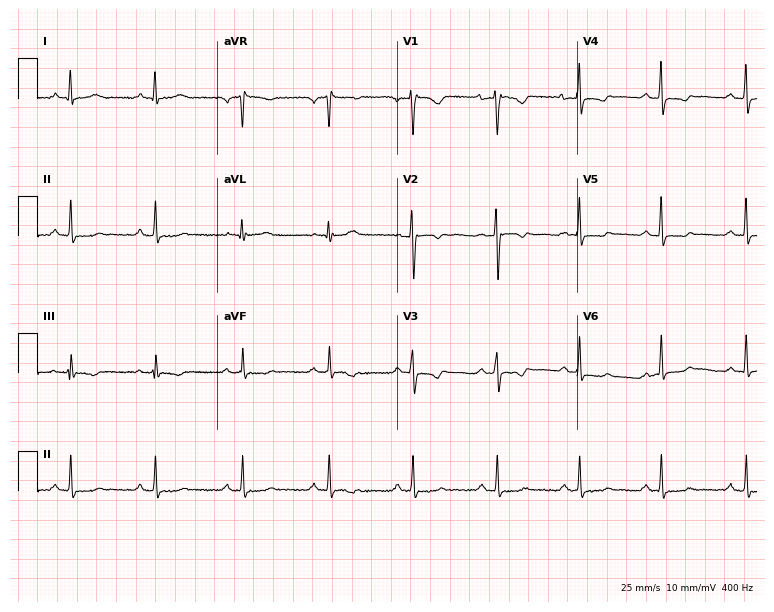
Resting 12-lead electrocardiogram. Patient: a 31-year-old female. None of these six findings is recorded: first-degree AV block, right bundle branch block, left bundle branch block, sinus bradycardia, atrial fibrillation, sinus tachycardia. Other findings, if any, are not listed.